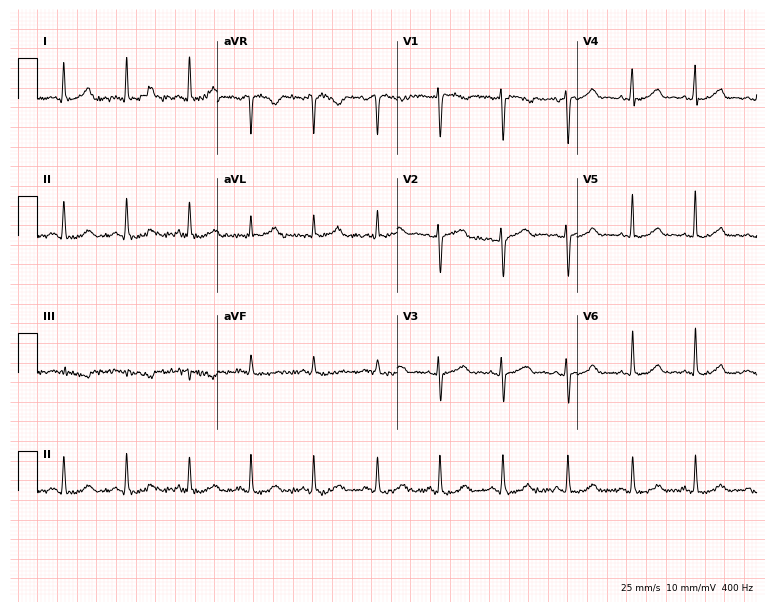
ECG — a 45-year-old female patient. Labelled as a normal ECG.